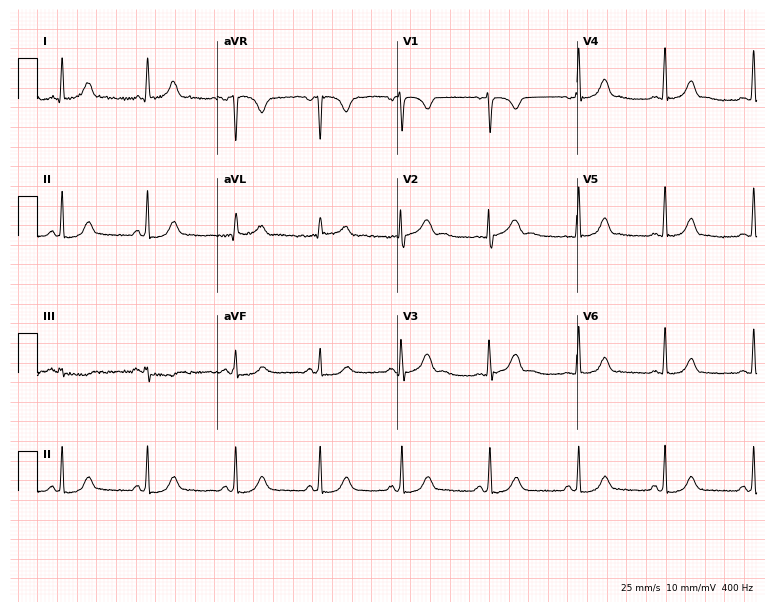
12-lead ECG from a female, 35 years old. Labelled as a normal ECG.